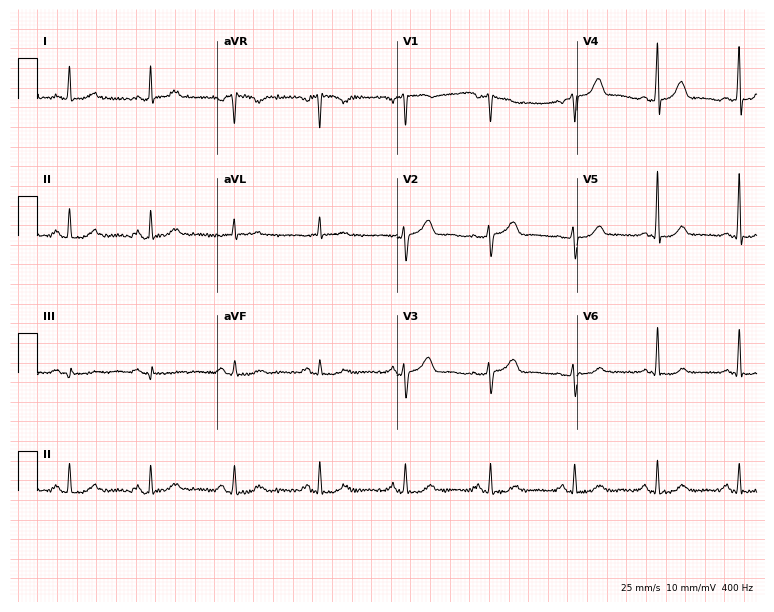
12-lead ECG from a 62-year-old male patient. Screened for six findings — first-degree AV block, right bundle branch block, left bundle branch block, sinus bradycardia, atrial fibrillation, sinus tachycardia — none is recorded.